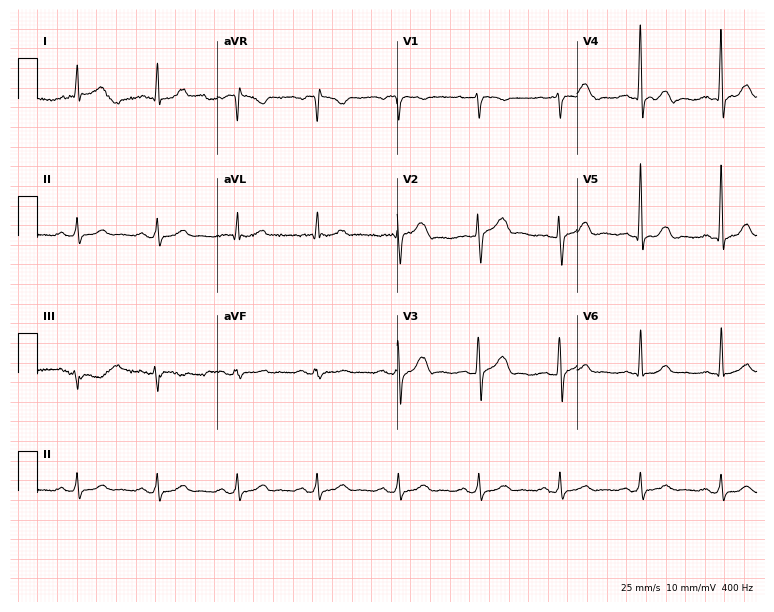
12-lead ECG from a man, 40 years old (7.3-second recording at 400 Hz). Recorded interpretation: within normal limits.